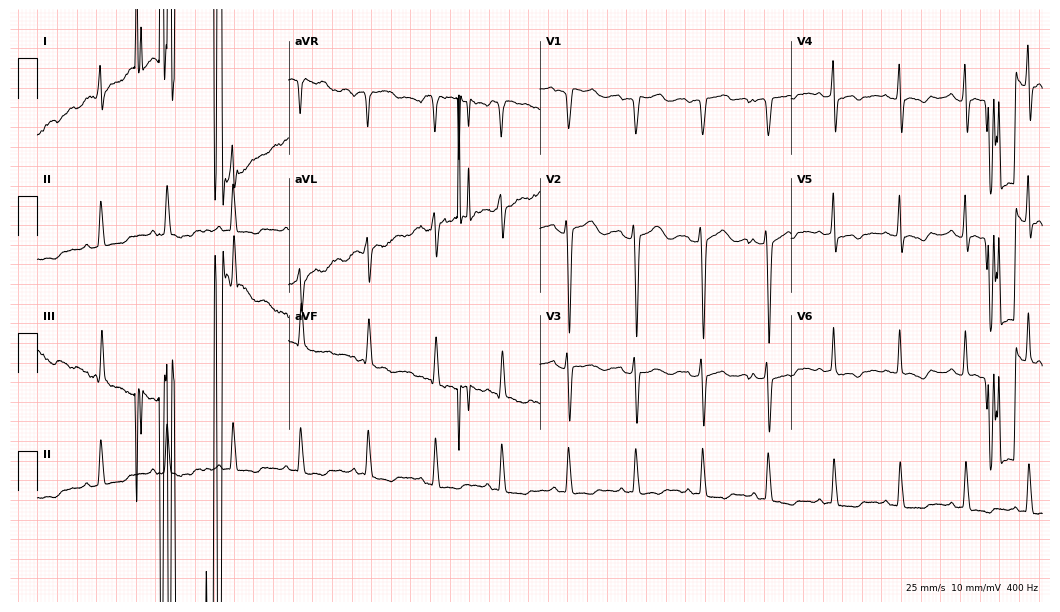
12-lead ECG from a 38-year-old female patient. No first-degree AV block, right bundle branch block, left bundle branch block, sinus bradycardia, atrial fibrillation or sinus tachycardia recorded for this tracing.